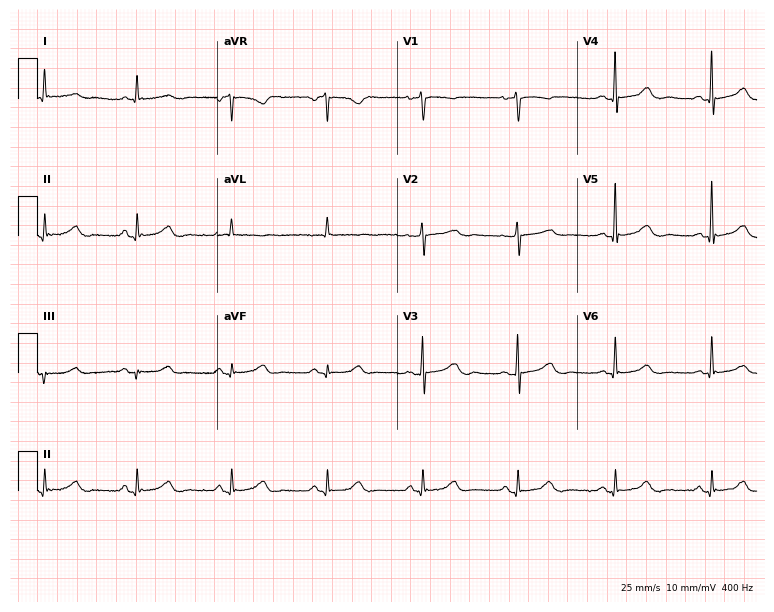
12-lead ECG from a woman, 51 years old. No first-degree AV block, right bundle branch block (RBBB), left bundle branch block (LBBB), sinus bradycardia, atrial fibrillation (AF) or sinus tachycardia recorded for this tracing.